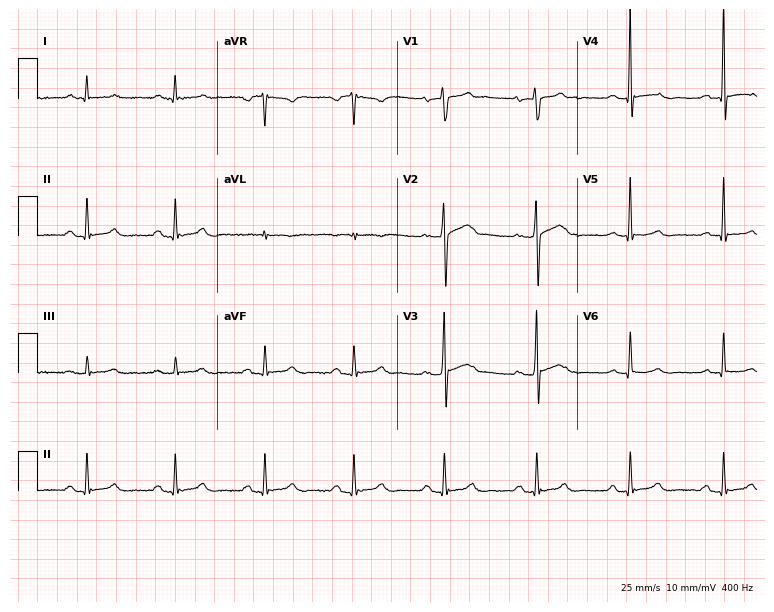
Resting 12-lead electrocardiogram. Patient: a 65-year-old male. None of these six findings is recorded: first-degree AV block, right bundle branch block, left bundle branch block, sinus bradycardia, atrial fibrillation, sinus tachycardia.